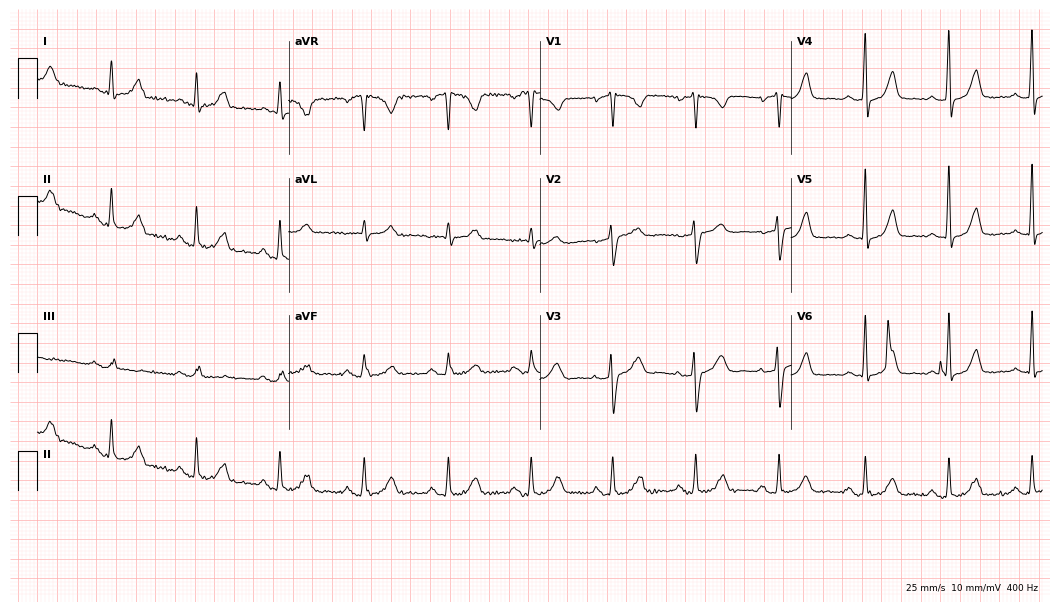
12-lead ECG from a woman, 55 years old (10.2-second recording at 400 Hz). No first-degree AV block, right bundle branch block, left bundle branch block, sinus bradycardia, atrial fibrillation or sinus tachycardia recorded for this tracing.